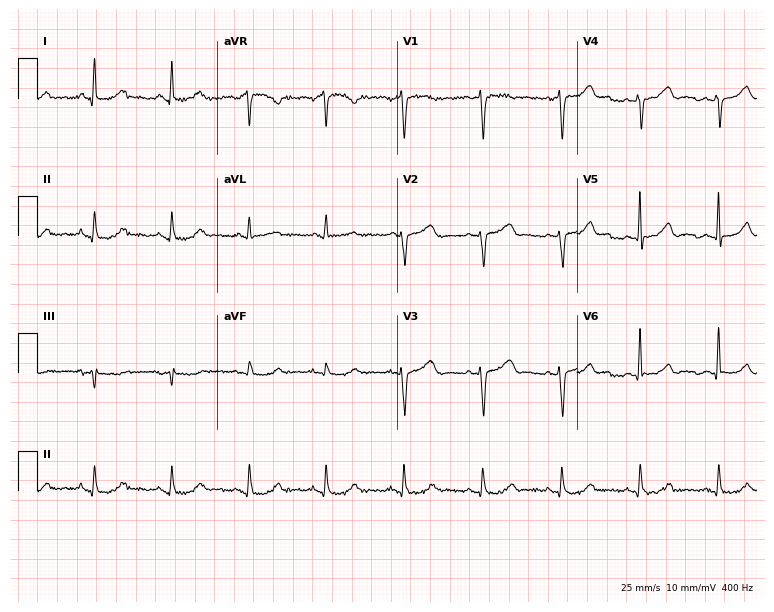
ECG — a 48-year-old female patient. Labelled as a normal ECG.